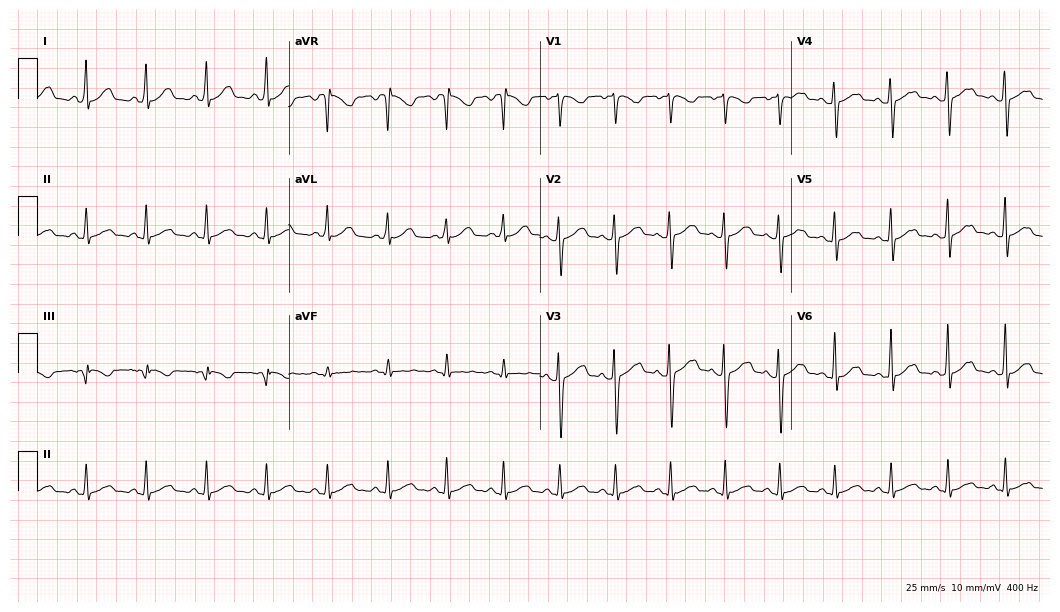
Standard 12-lead ECG recorded from a 28-year-old female patient. Read as a normal ECG.